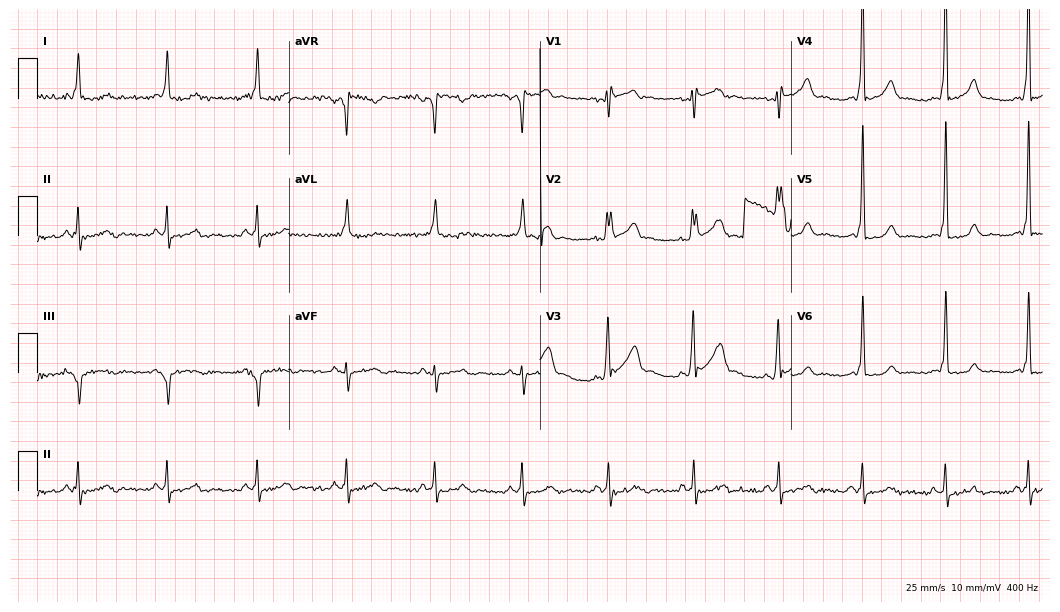
Electrocardiogram (10.2-second recording at 400 Hz), a 42-year-old male patient. Of the six screened findings (first-degree AV block, right bundle branch block, left bundle branch block, sinus bradycardia, atrial fibrillation, sinus tachycardia), none is recorded.